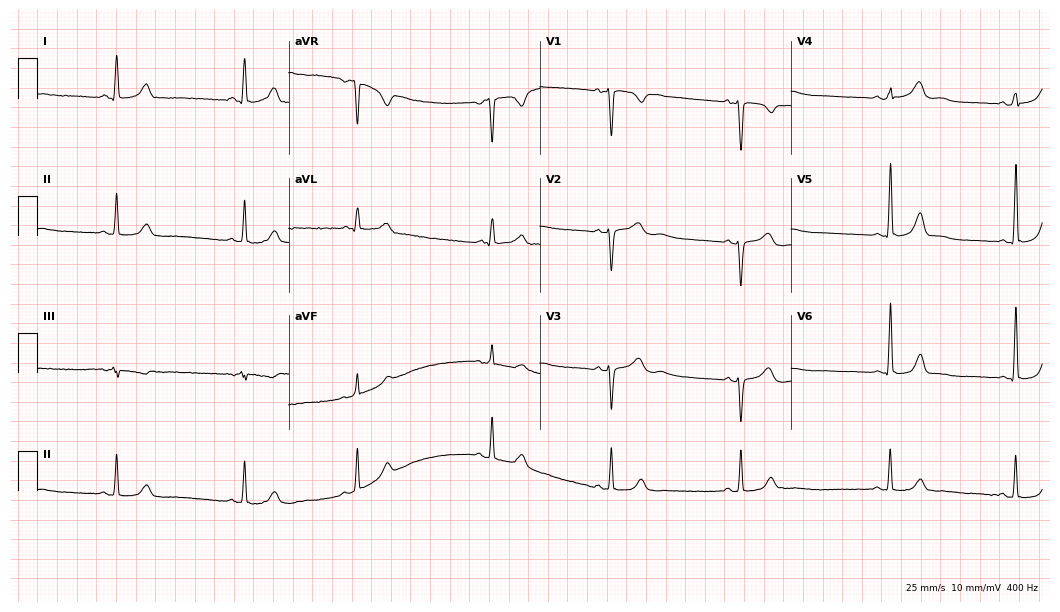
Standard 12-lead ECG recorded from a woman, 19 years old. The tracing shows sinus bradycardia (a sinus rate of 50 beats per minute or less).